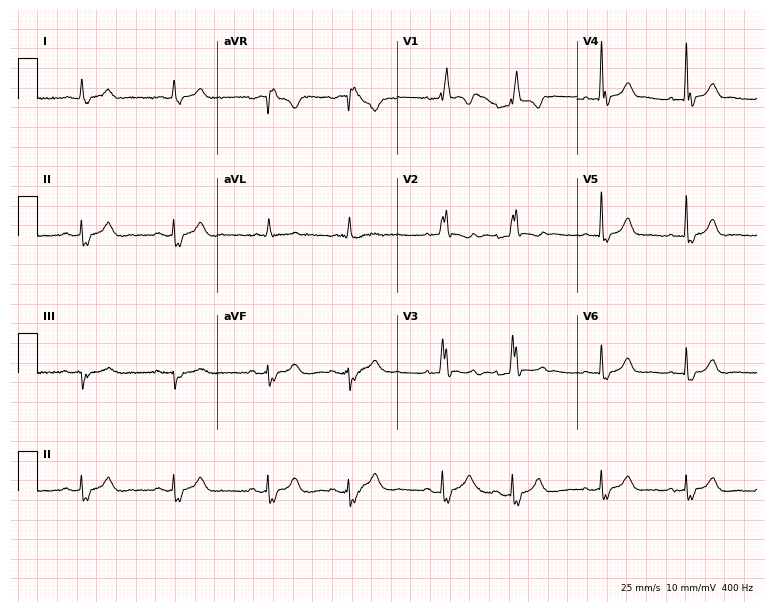
12-lead ECG from a male patient, 81 years old. Screened for six findings — first-degree AV block, right bundle branch block, left bundle branch block, sinus bradycardia, atrial fibrillation, sinus tachycardia — none is recorded.